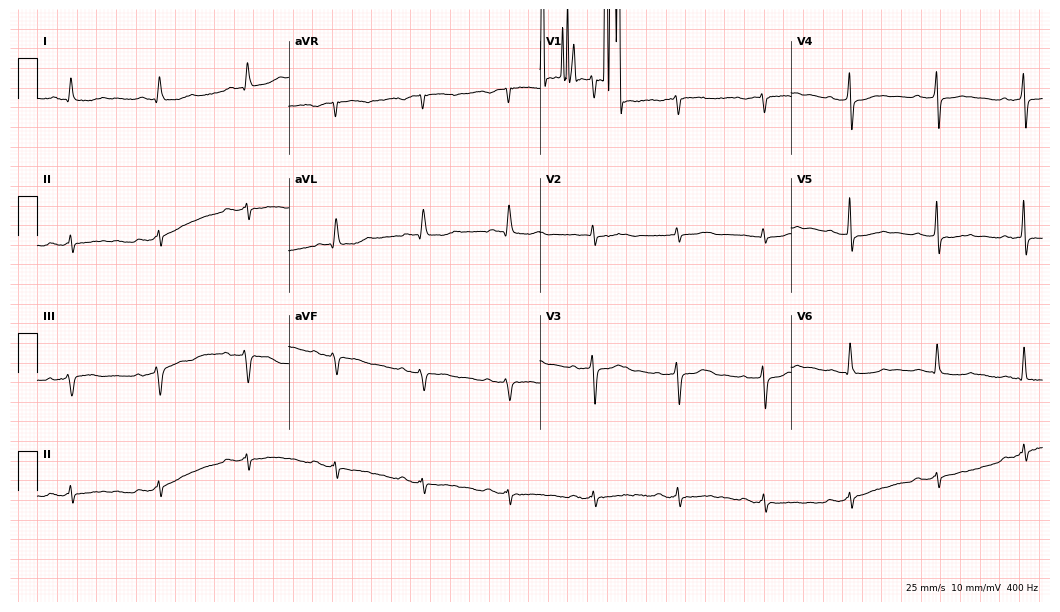
Electrocardiogram, a male, 75 years old. Interpretation includes first-degree AV block.